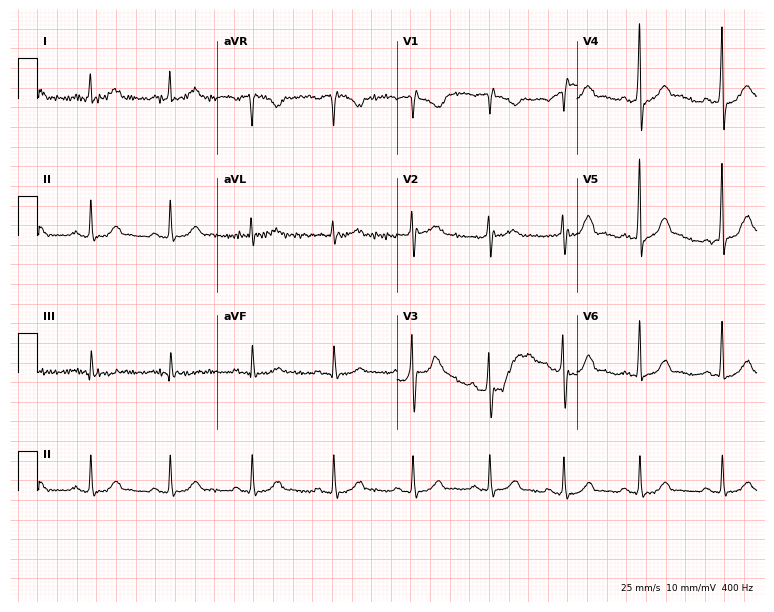
Electrocardiogram (7.3-second recording at 400 Hz), a 45-year-old male. Of the six screened findings (first-degree AV block, right bundle branch block (RBBB), left bundle branch block (LBBB), sinus bradycardia, atrial fibrillation (AF), sinus tachycardia), none is recorded. Only these six findings were labelled.